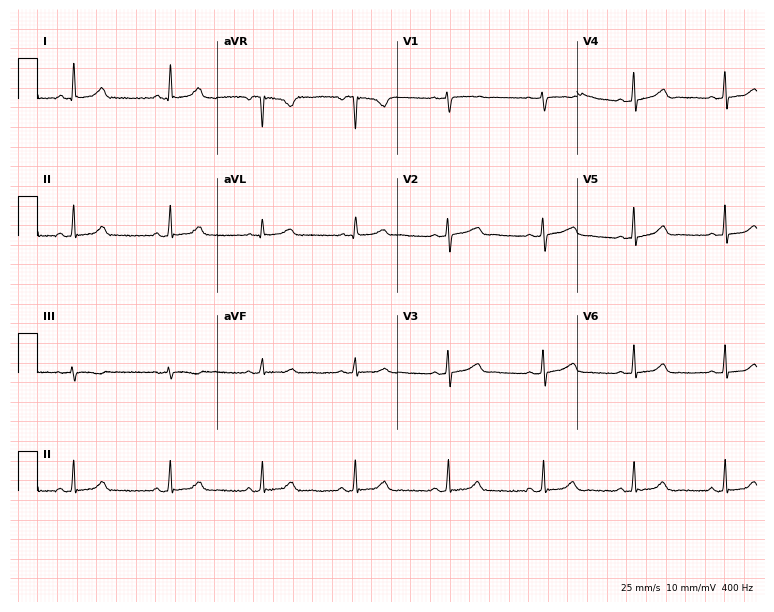
Electrocardiogram (7.3-second recording at 400 Hz), a 27-year-old female. Overall reading on record: normal ECG.